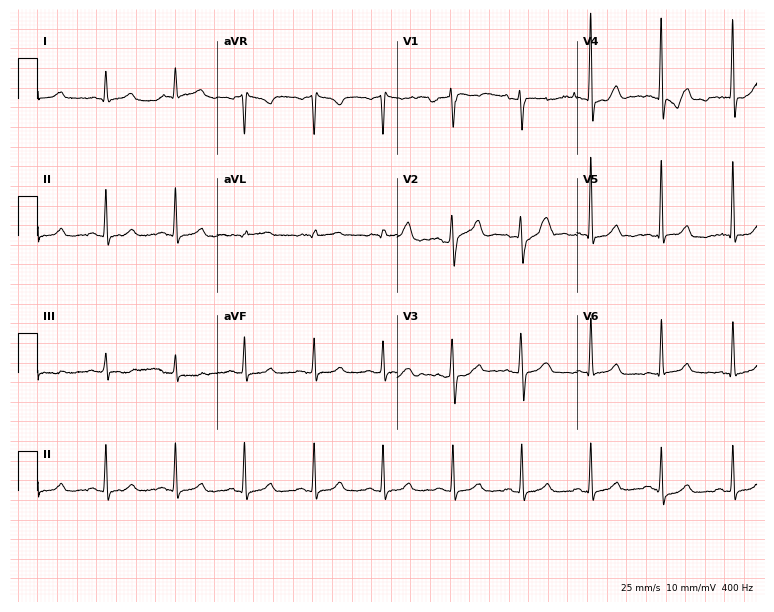
12-lead ECG (7.3-second recording at 400 Hz) from a 41-year-old female. Labelled as a normal ECG.